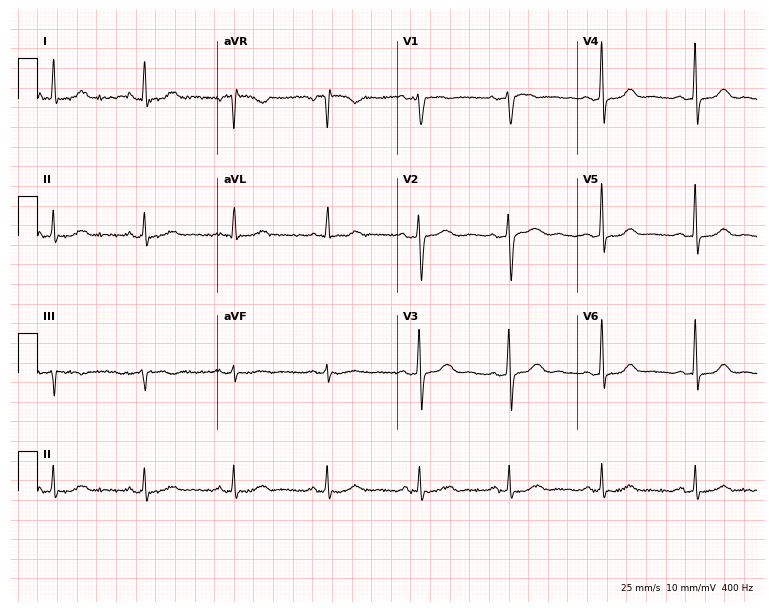
Standard 12-lead ECG recorded from a 56-year-old female patient (7.3-second recording at 400 Hz). Read as a normal ECG.